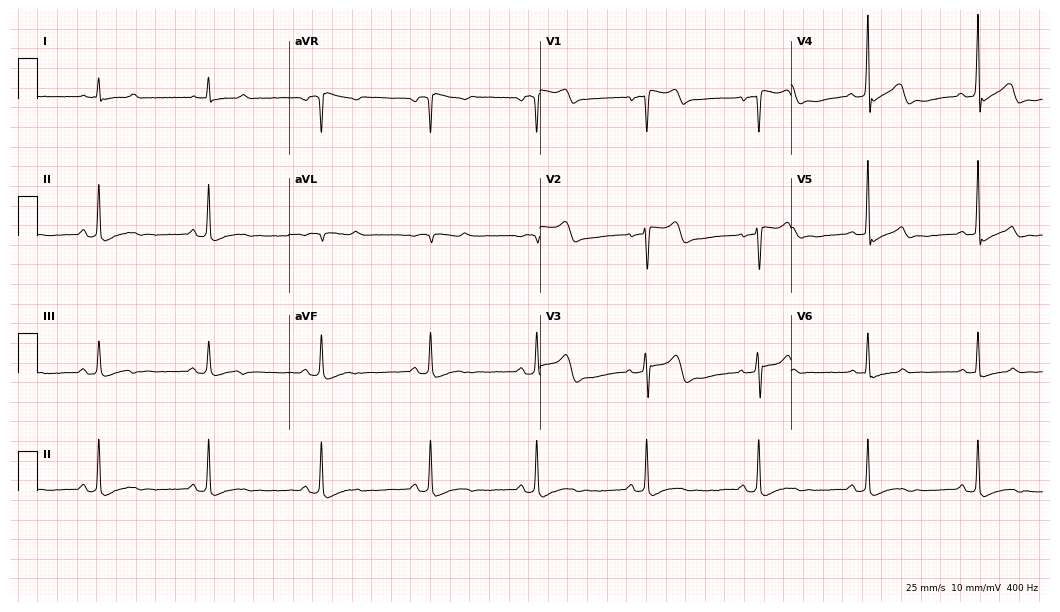
Resting 12-lead electrocardiogram (10.2-second recording at 400 Hz). Patient: a male, 44 years old. None of these six findings is recorded: first-degree AV block, right bundle branch block, left bundle branch block, sinus bradycardia, atrial fibrillation, sinus tachycardia.